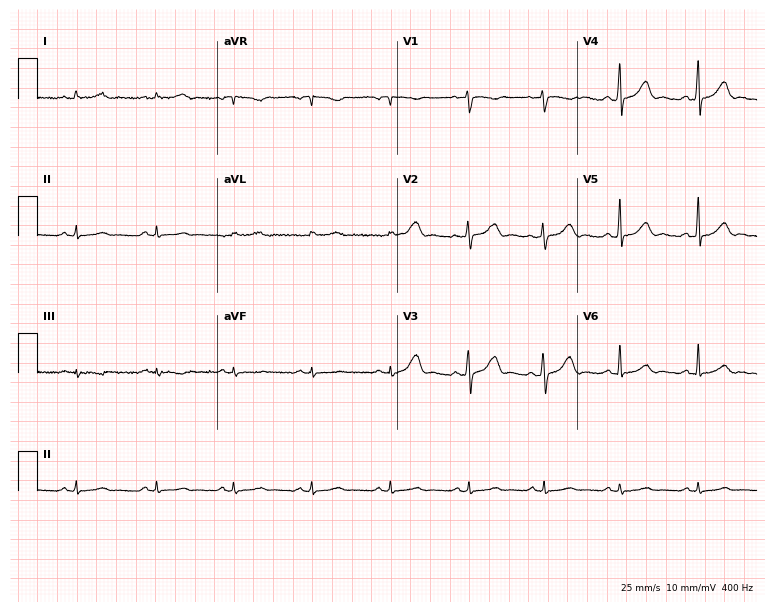
Electrocardiogram (7.3-second recording at 400 Hz), a 36-year-old woman. Of the six screened findings (first-degree AV block, right bundle branch block, left bundle branch block, sinus bradycardia, atrial fibrillation, sinus tachycardia), none is recorded.